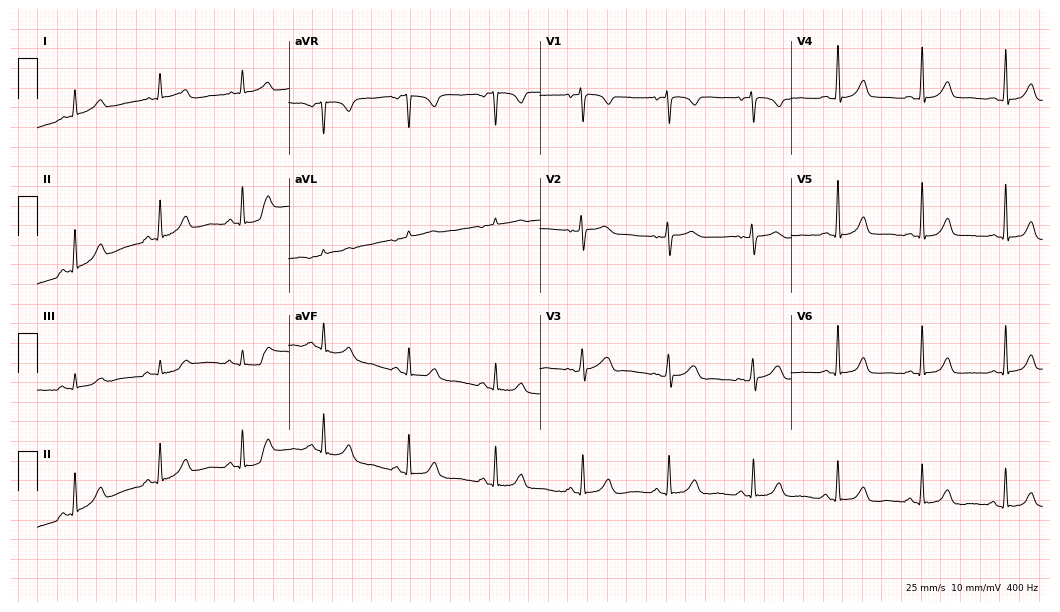
12-lead ECG from a 39-year-old female patient. Recorded interpretation: within normal limits.